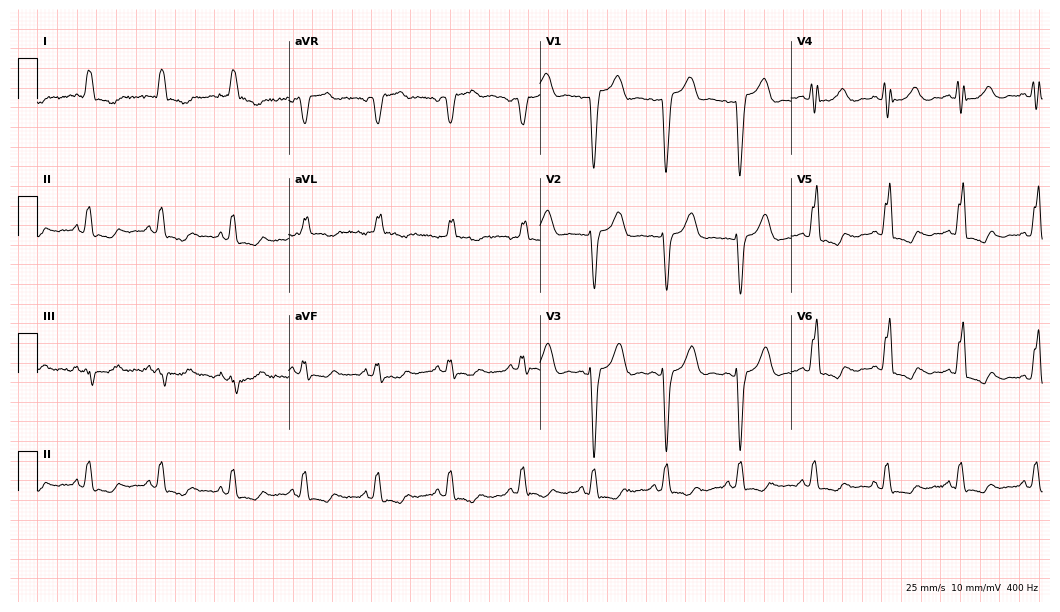
12-lead ECG (10.2-second recording at 400 Hz) from a female, 70 years old. Findings include left bundle branch block.